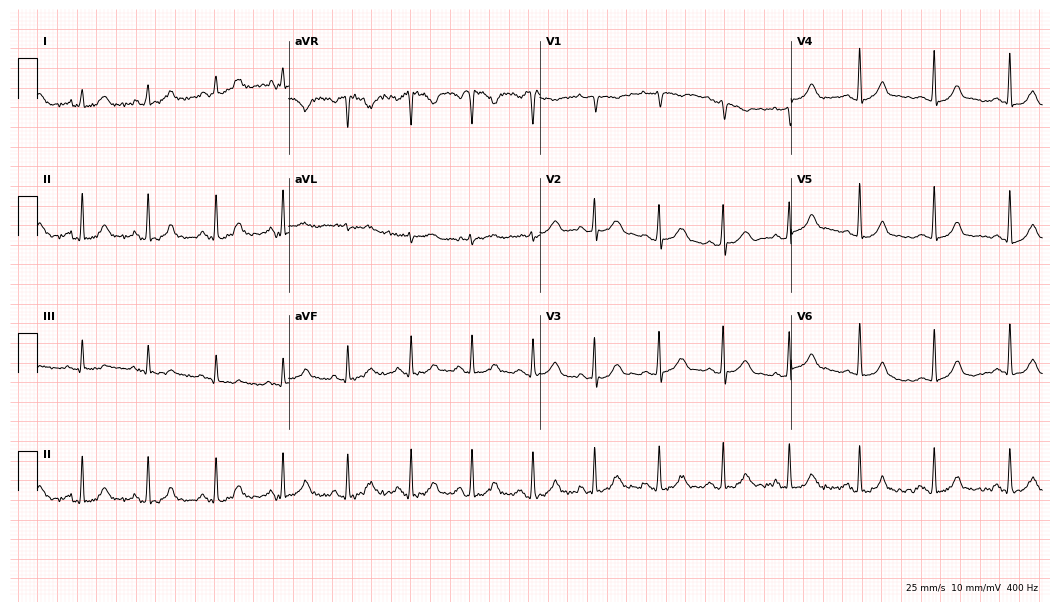
ECG (10.2-second recording at 400 Hz) — a female, 32 years old. Screened for six findings — first-degree AV block, right bundle branch block, left bundle branch block, sinus bradycardia, atrial fibrillation, sinus tachycardia — none is recorded. Other findings, if any, are not listed.